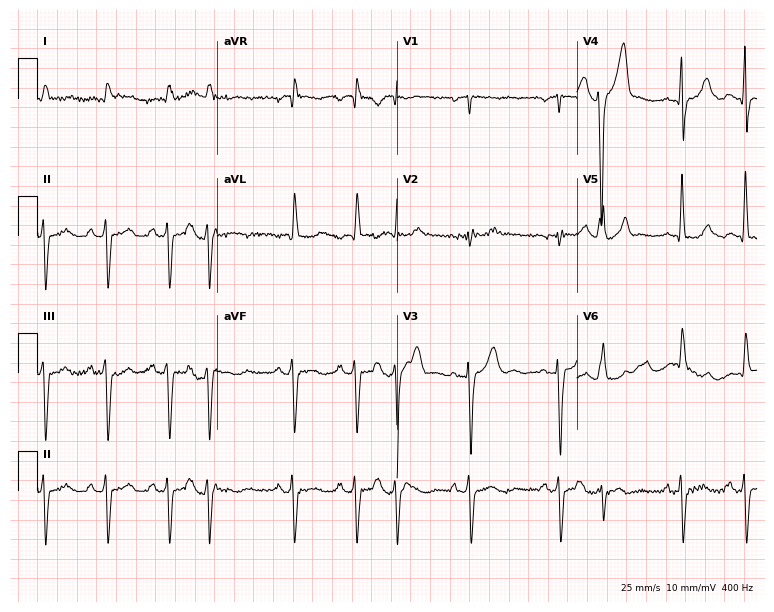
12-lead ECG from a 77-year-old male patient (7.3-second recording at 400 Hz). No first-degree AV block, right bundle branch block (RBBB), left bundle branch block (LBBB), sinus bradycardia, atrial fibrillation (AF) or sinus tachycardia recorded for this tracing. Other findings, if any, are not listed.